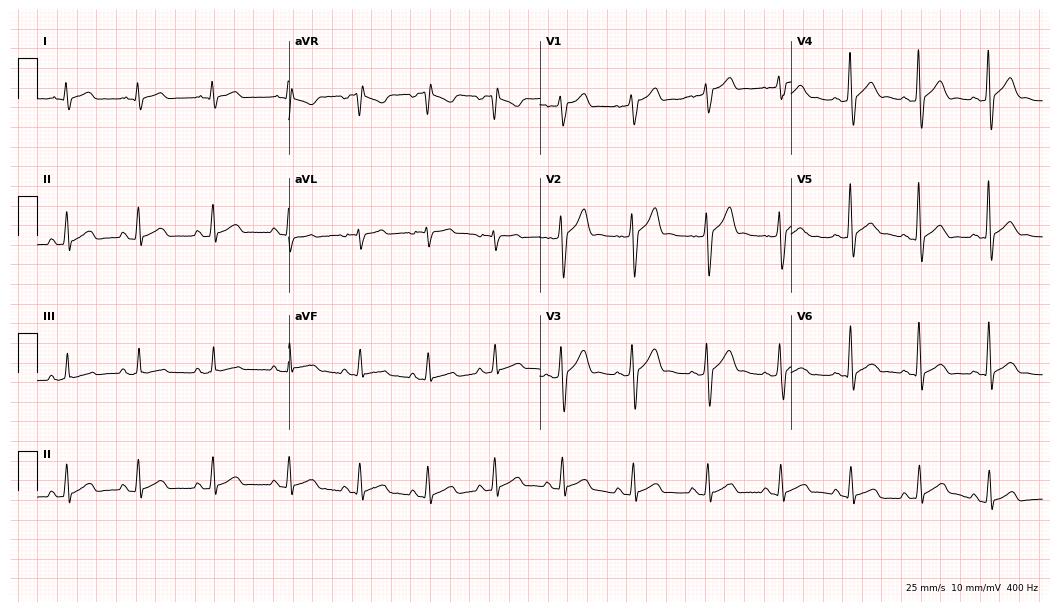
Electrocardiogram (10.2-second recording at 400 Hz), a male patient, 43 years old. Overall reading on record: normal ECG.